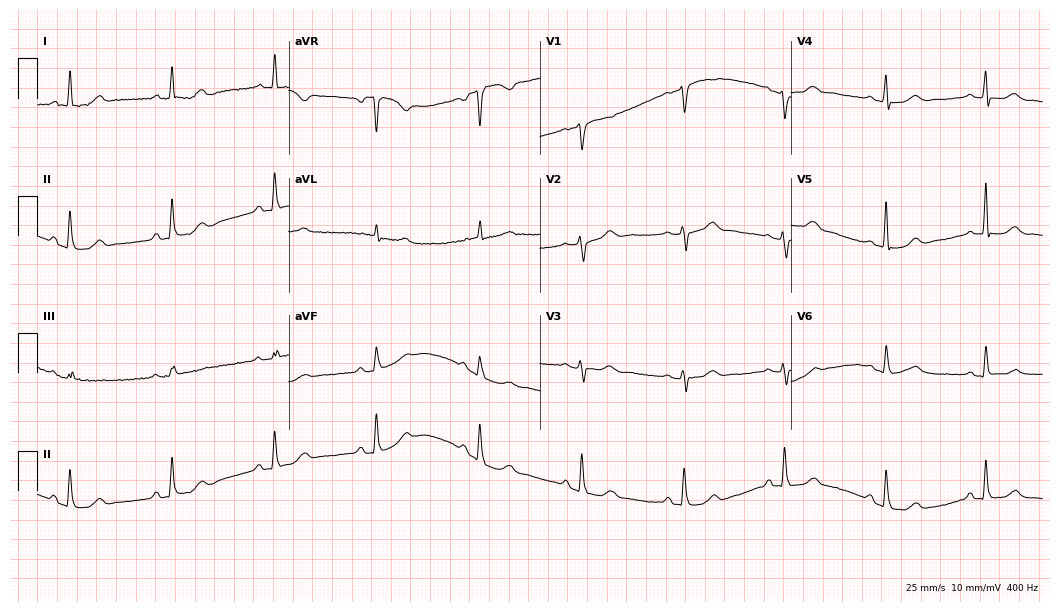
12-lead ECG from a female, 71 years old (10.2-second recording at 400 Hz). Recorded interpretation: within normal limits.